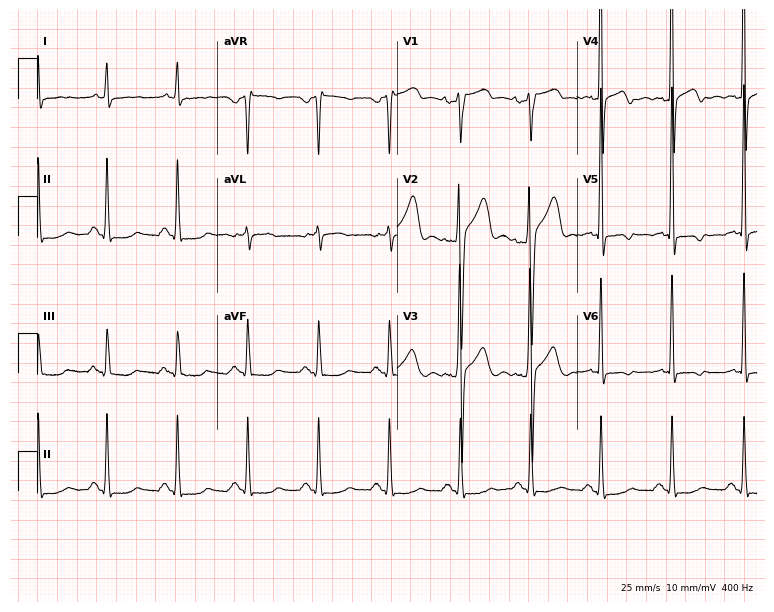
Electrocardiogram, a male patient, 36 years old. Of the six screened findings (first-degree AV block, right bundle branch block (RBBB), left bundle branch block (LBBB), sinus bradycardia, atrial fibrillation (AF), sinus tachycardia), none is recorded. Only these six findings were labelled.